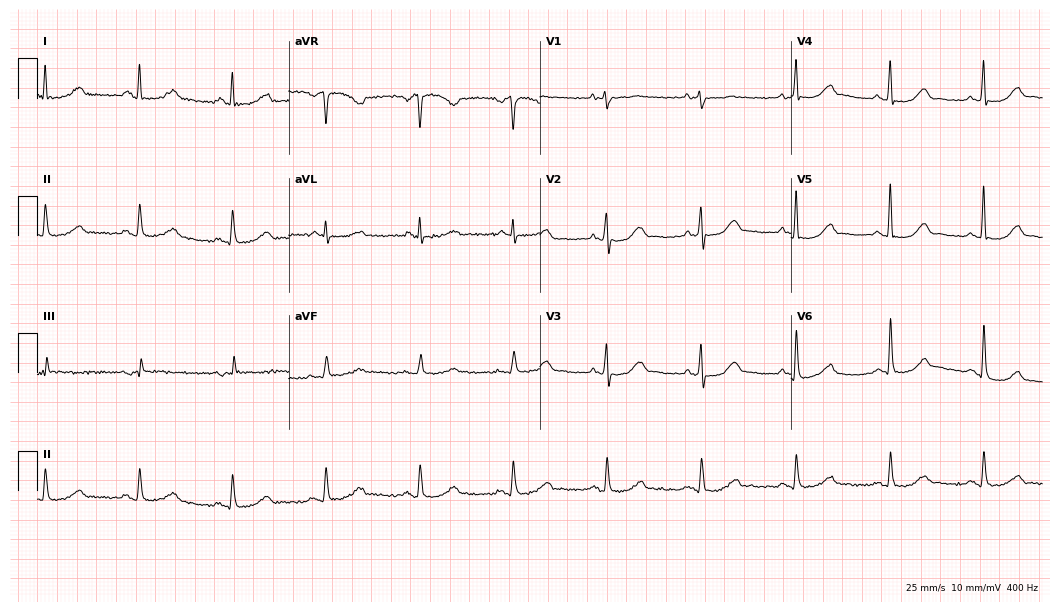
12-lead ECG from a 62-year-old female (10.2-second recording at 400 Hz). Recorded interpretation: within normal limits.